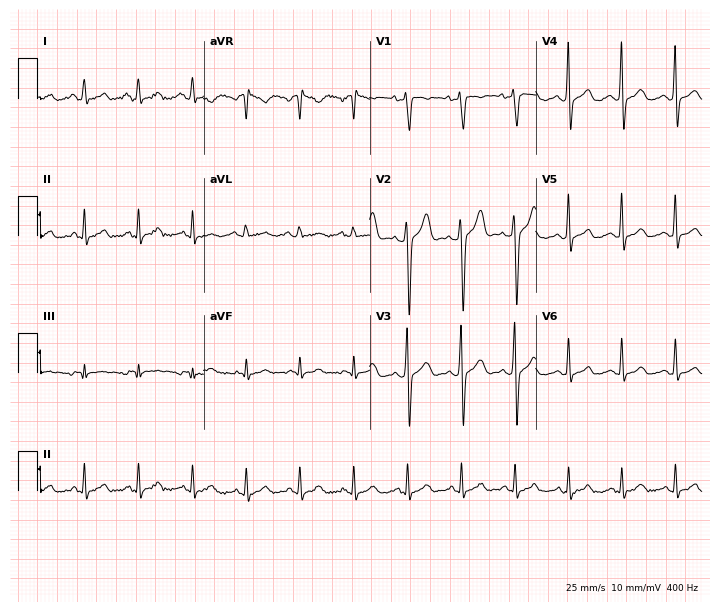
Electrocardiogram (6.8-second recording at 400 Hz), a man, 37 years old. Interpretation includes sinus tachycardia (a sinus rate of 100 beats per minute or more).